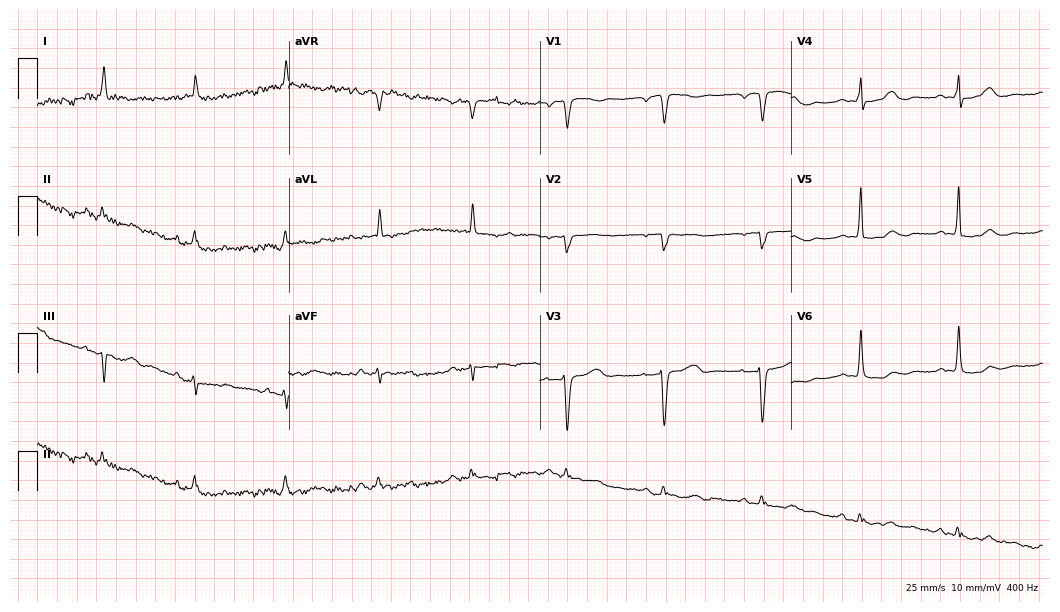
Standard 12-lead ECG recorded from a 77-year-old woman (10.2-second recording at 400 Hz). None of these six findings is recorded: first-degree AV block, right bundle branch block, left bundle branch block, sinus bradycardia, atrial fibrillation, sinus tachycardia.